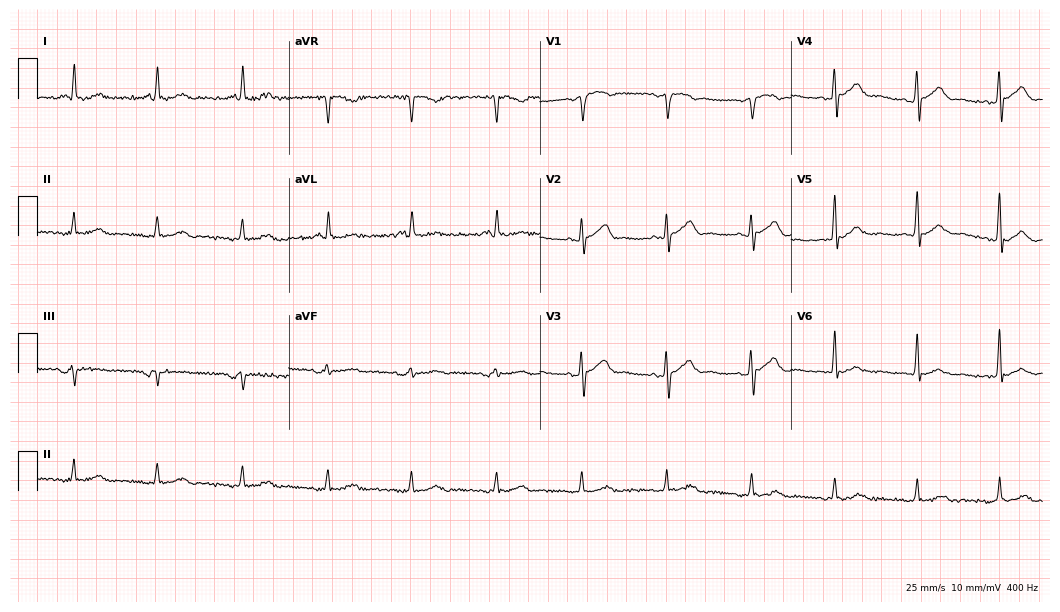
12-lead ECG (10.2-second recording at 400 Hz) from a woman, 49 years old. Screened for six findings — first-degree AV block, right bundle branch block, left bundle branch block, sinus bradycardia, atrial fibrillation, sinus tachycardia — none is recorded.